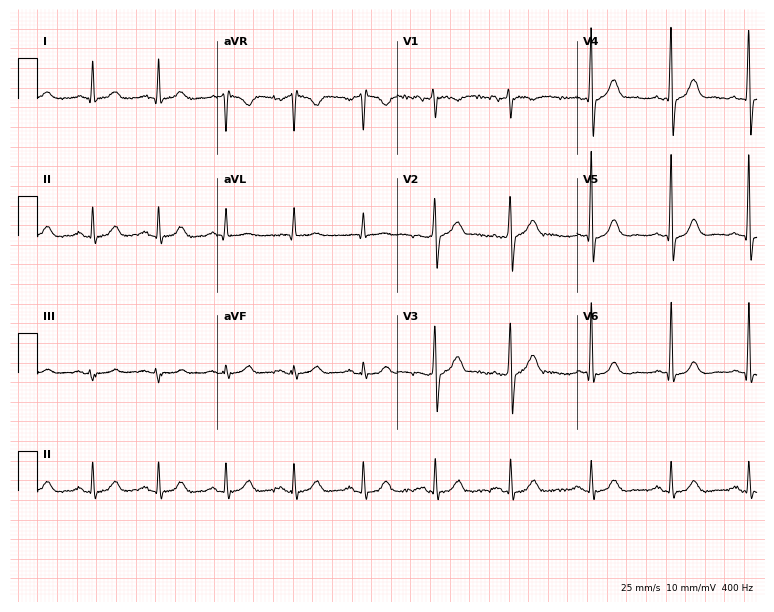
Resting 12-lead electrocardiogram (7.3-second recording at 400 Hz). Patient: a 51-year-old man. Read as a normal ECG.